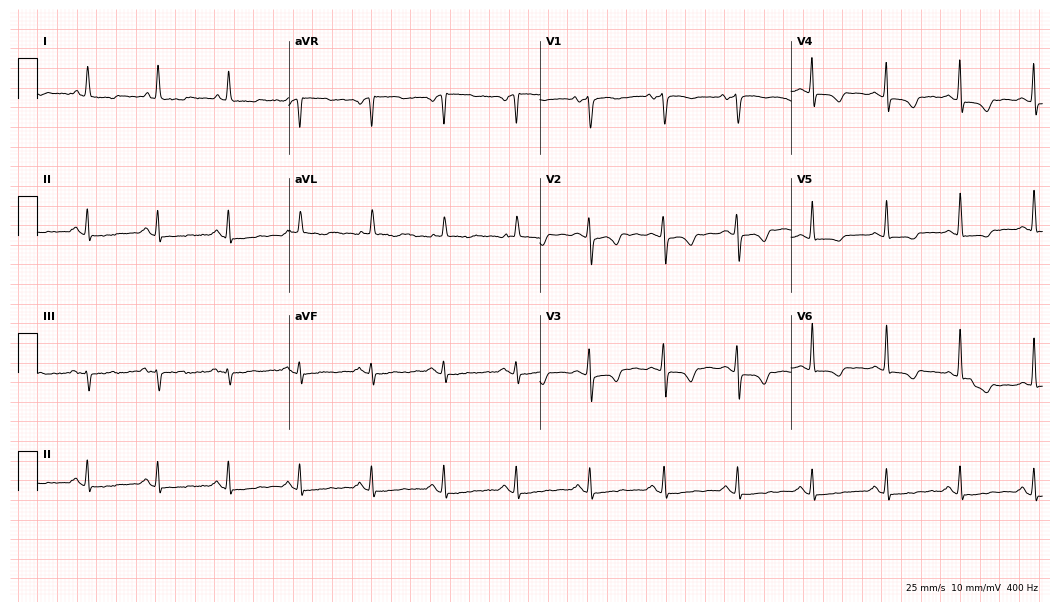
Electrocardiogram, a female, 60 years old. Of the six screened findings (first-degree AV block, right bundle branch block, left bundle branch block, sinus bradycardia, atrial fibrillation, sinus tachycardia), none is recorded.